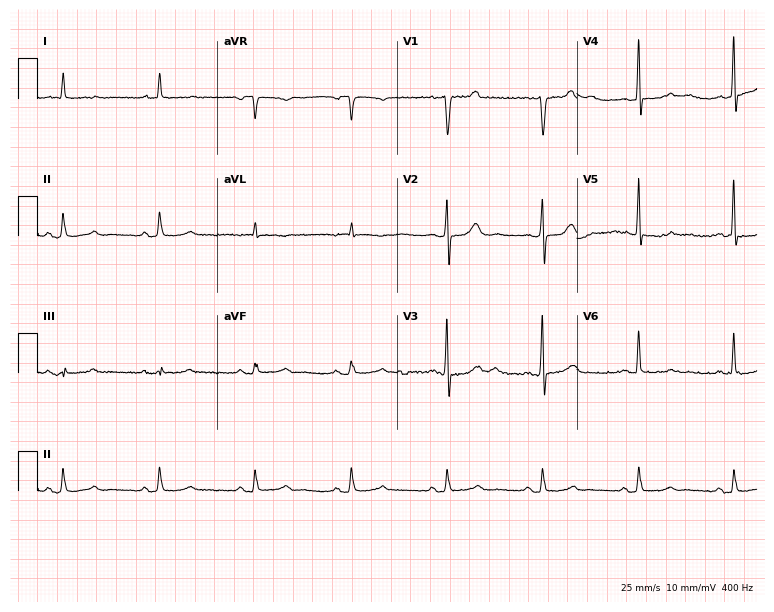
ECG (7.3-second recording at 400 Hz) — a male patient, 85 years old. Screened for six findings — first-degree AV block, right bundle branch block (RBBB), left bundle branch block (LBBB), sinus bradycardia, atrial fibrillation (AF), sinus tachycardia — none is recorded. Findings outside these six are not listed.